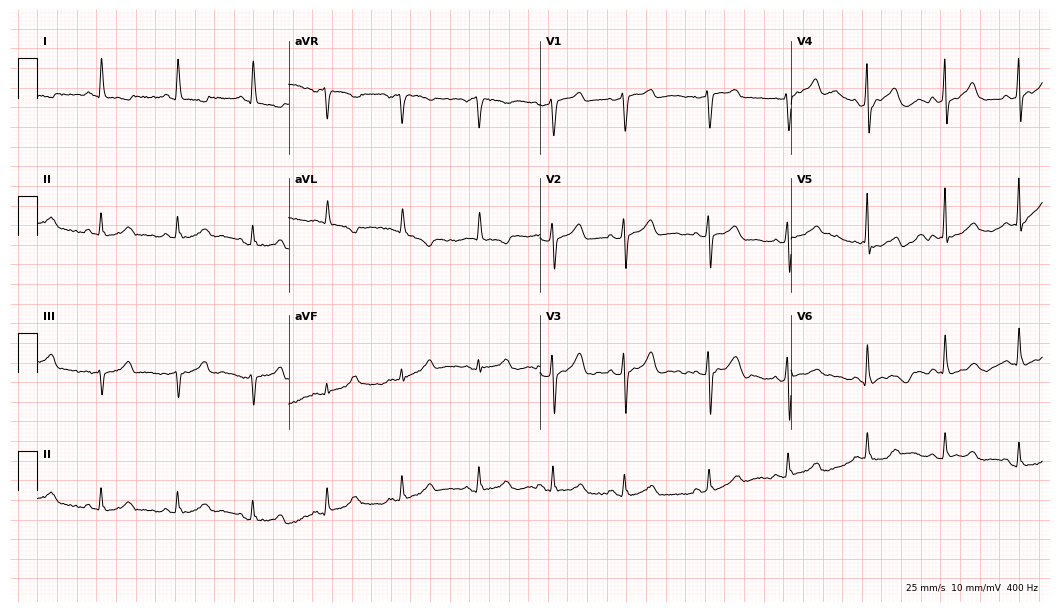
ECG (10.2-second recording at 400 Hz) — a woman, 78 years old. Labelled as a normal ECG.